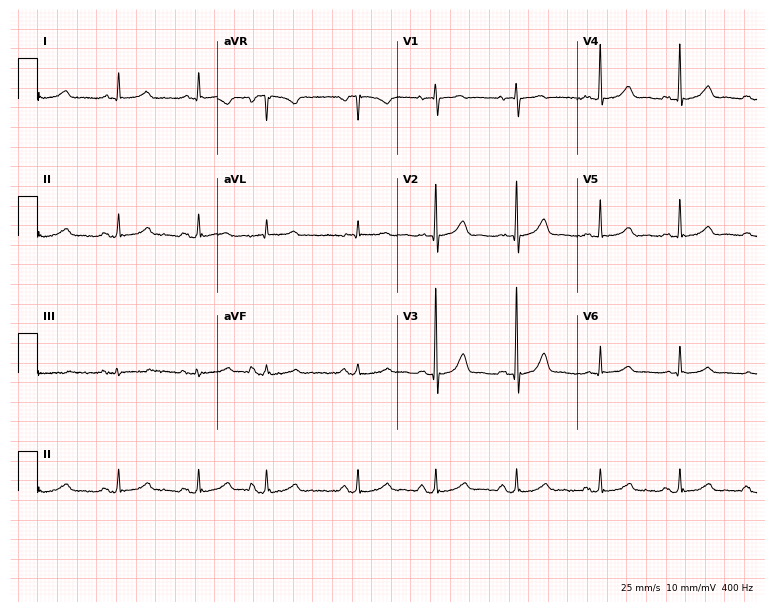
12-lead ECG from a female, 83 years old. Screened for six findings — first-degree AV block, right bundle branch block (RBBB), left bundle branch block (LBBB), sinus bradycardia, atrial fibrillation (AF), sinus tachycardia — none is recorded.